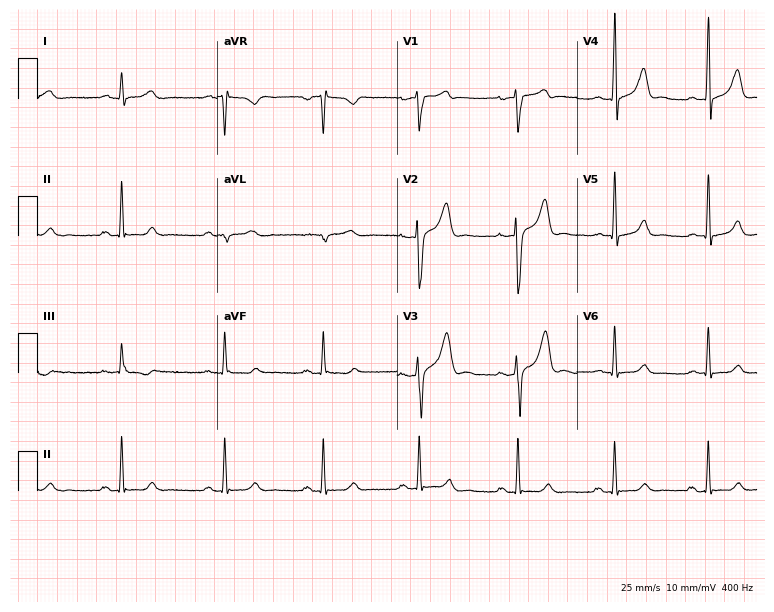
Standard 12-lead ECG recorded from a male, 37 years old. Read as a normal ECG.